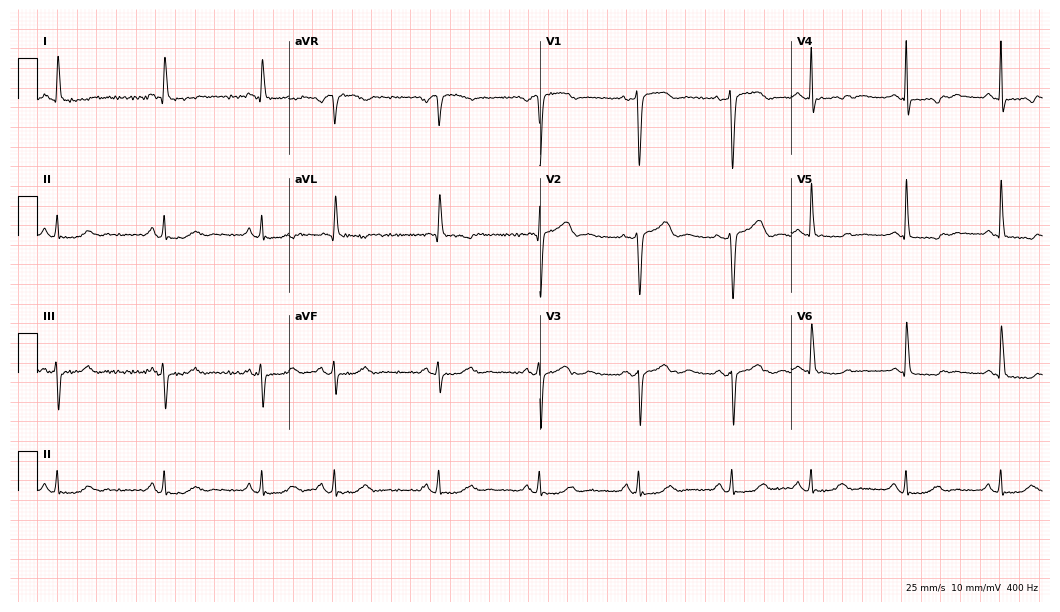
12-lead ECG (10.2-second recording at 400 Hz) from a female, 70 years old. Screened for six findings — first-degree AV block, right bundle branch block, left bundle branch block, sinus bradycardia, atrial fibrillation, sinus tachycardia — none is recorded.